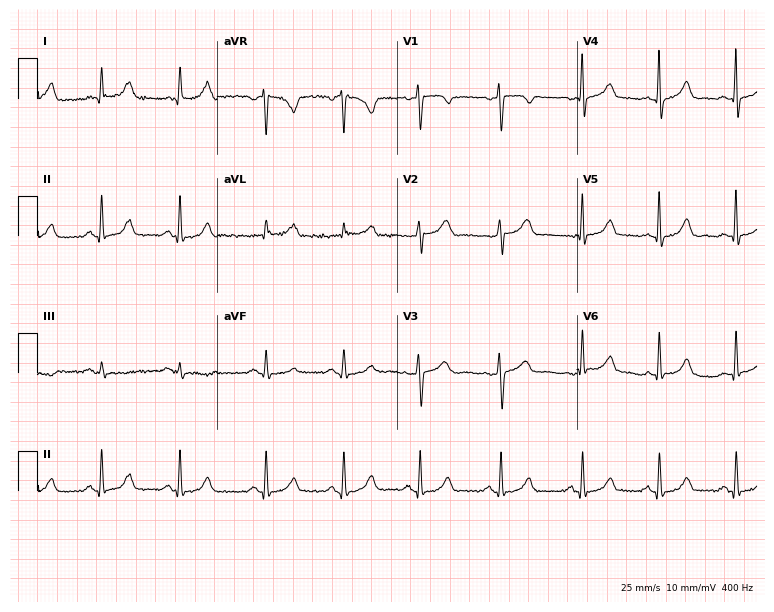
12-lead ECG from a 37-year-old female. Recorded interpretation: within normal limits.